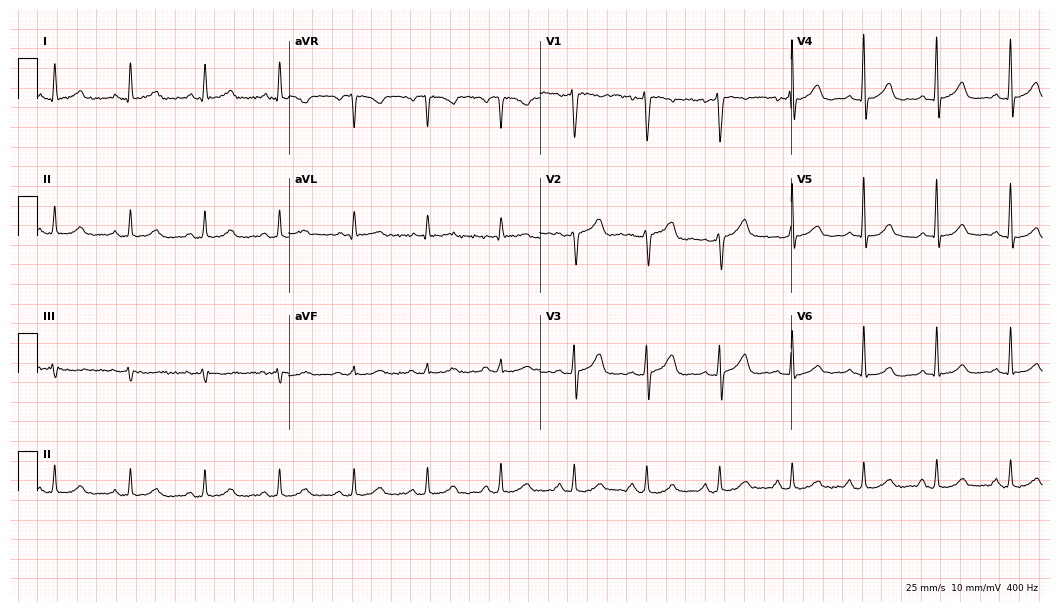
Electrocardiogram, a woman, 51 years old. Overall reading on record: normal ECG.